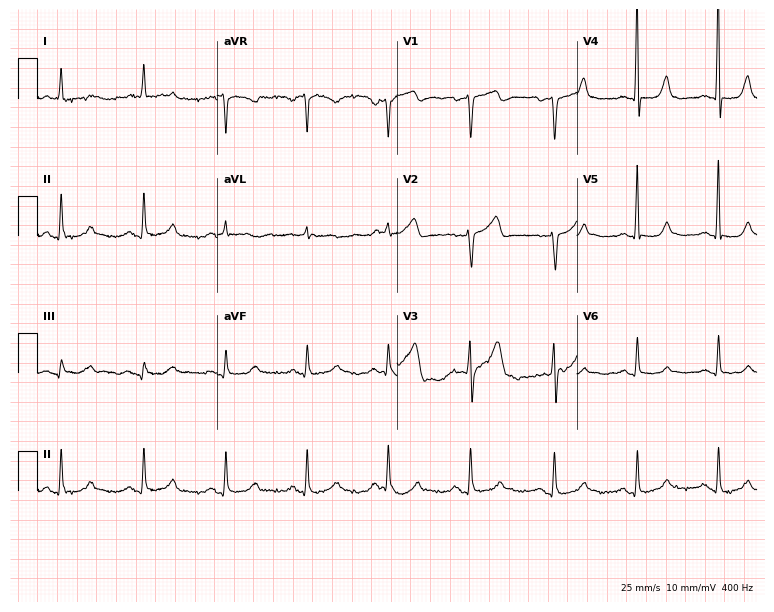
Standard 12-lead ECG recorded from an 80-year-old male patient (7.3-second recording at 400 Hz). Read as a normal ECG.